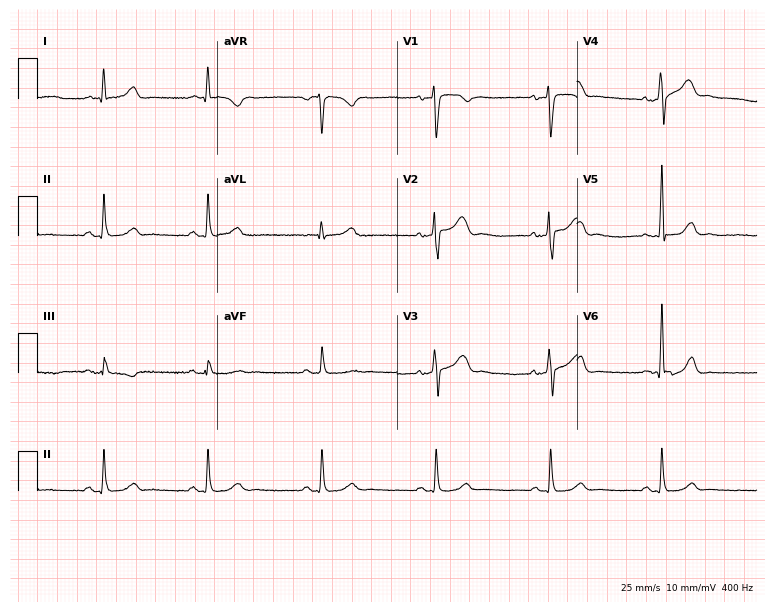
12-lead ECG from a man, 36 years old. Labelled as a normal ECG.